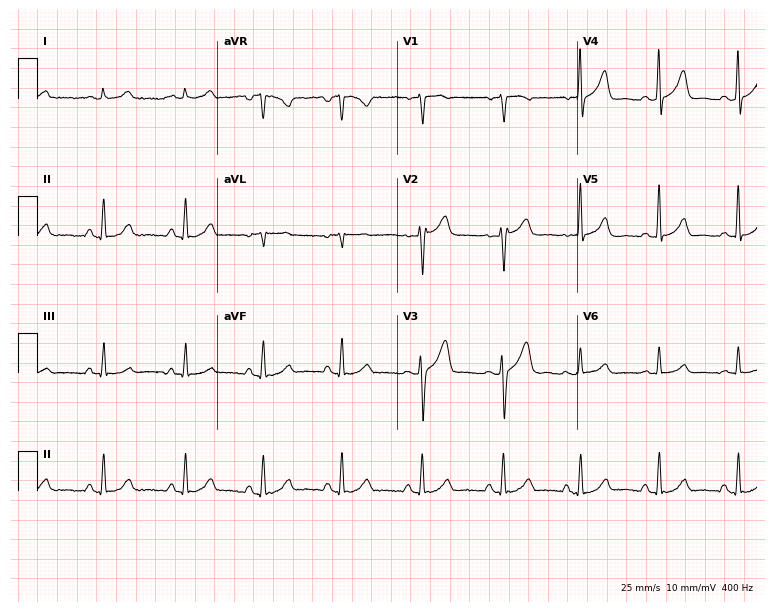
Standard 12-lead ECG recorded from a female, 54 years old. Read as a normal ECG.